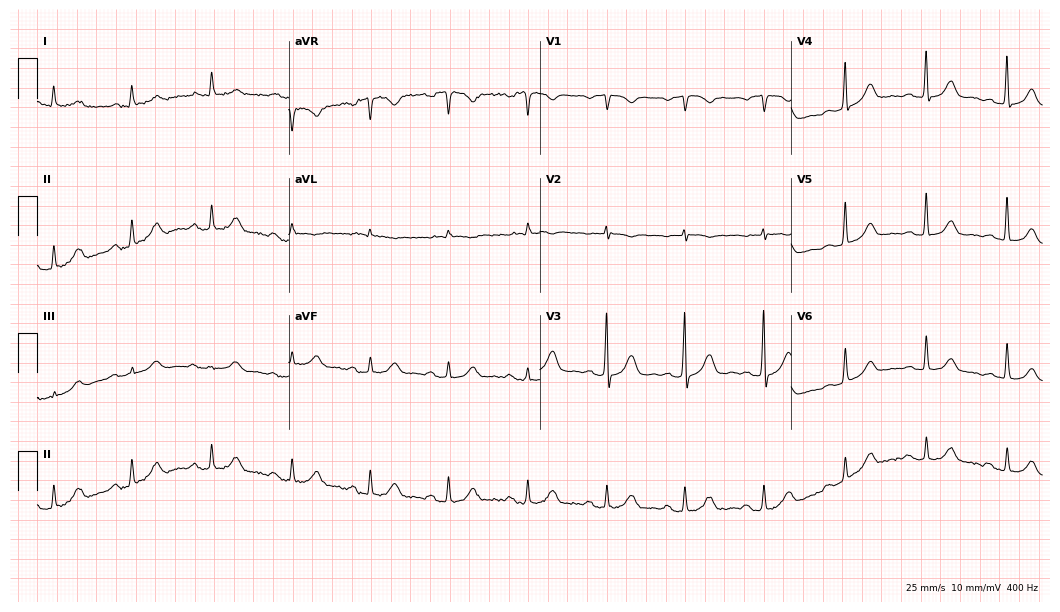
ECG (10.2-second recording at 400 Hz) — a 73-year-old male patient. Labelled as a normal ECG.